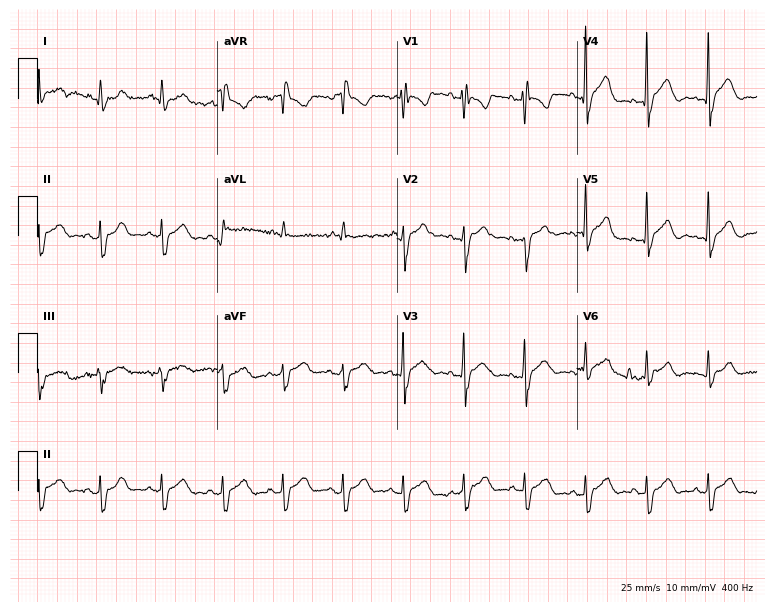
Electrocardiogram (7.3-second recording at 400 Hz), a 35-year-old male. Of the six screened findings (first-degree AV block, right bundle branch block, left bundle branch block, sinus bradycardia, atrial fibrillation, sinus tachycardia), none is recorded.